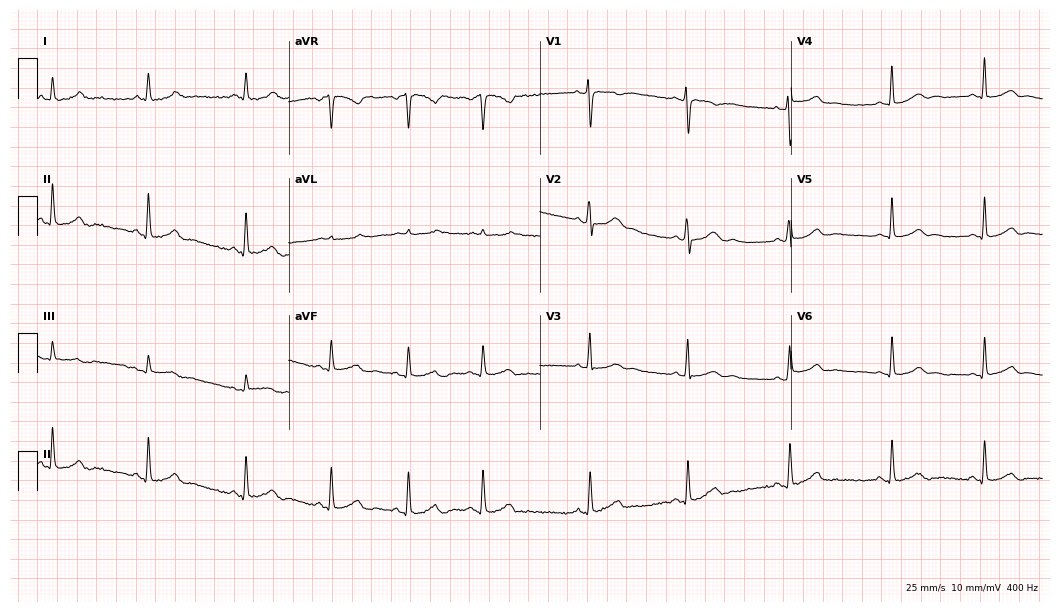
Resting 12-lead electrocardiogram. Patient: a 29-year-old female. None of these six findings is recorded: first-degree AV block, right bundle branch block, left bundle branch block, sinus bradycardia, atrial fibrillation, sinus tachycardia.